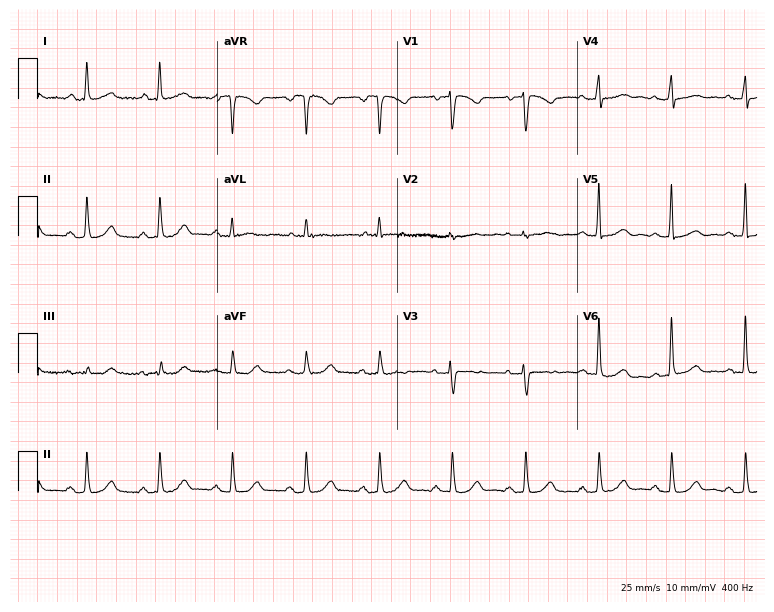
ECG — an 82-year-old female. Screened for six findings — first-degree AV block, right bundle branch block (RBBB), left bundle branch block (LBBB), sinus bradycardia, atrial fibrillation (AF), sinus tachycardia — none is recorded. Only these six findings were labelled.